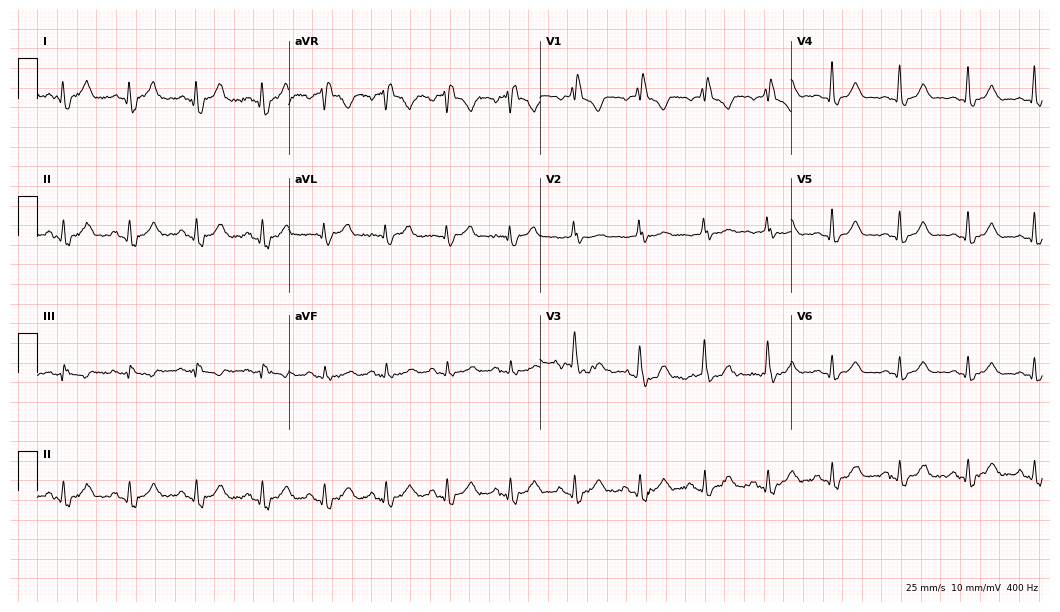
ECG — a 56-year-old woman. Findings include right bundle branch block (RBBB).